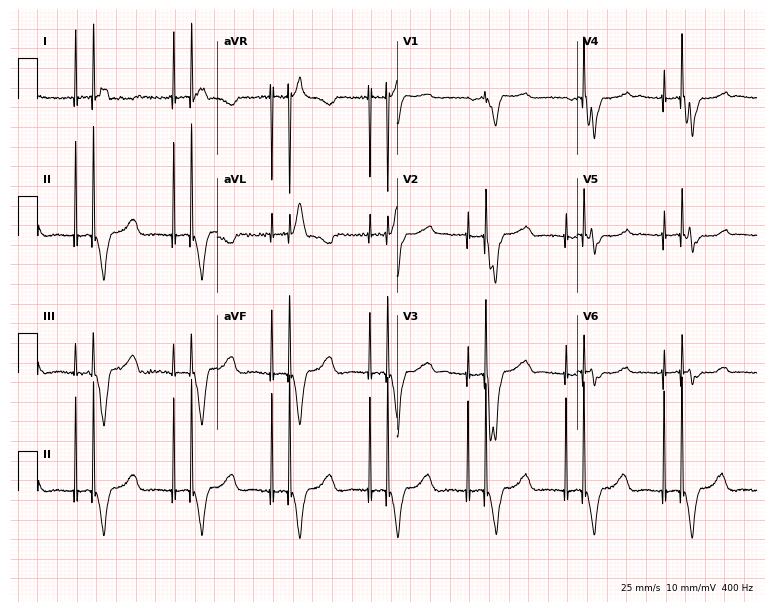
Standard 12-lead ECG recorded from a woman, 65 years old. None of these six findings is recorded: first-degree AV block, right bundle branch block, left bundle branch block, sinus bradycardia, atrial fibrillation, sinus tachycardia. Other findings, if any, are not listed.